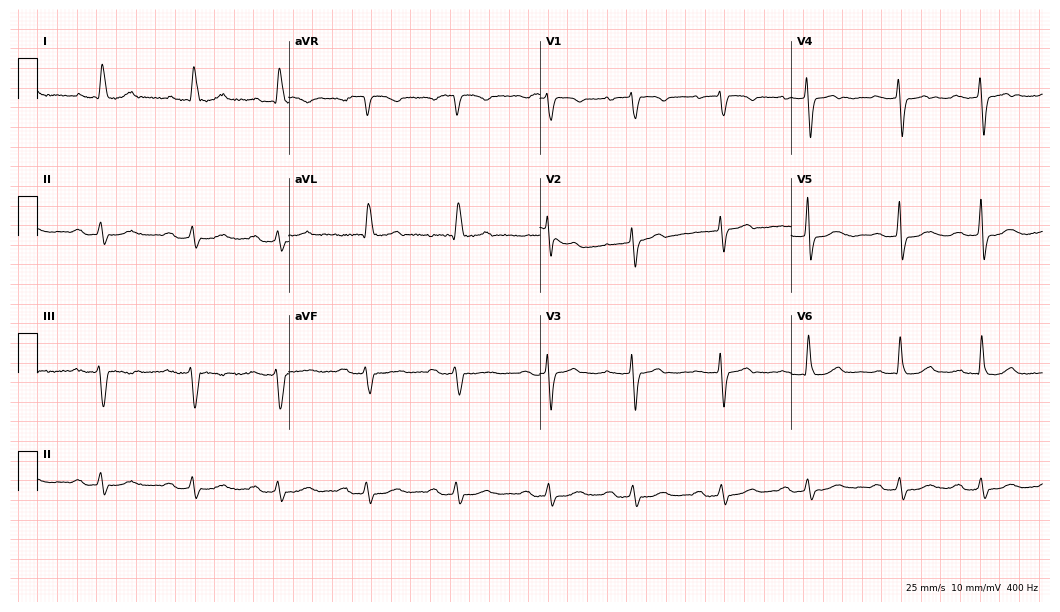
Electrocardiogram (10.2-second recording at 400 Hz), a 78-year-old female. Interpretation includes first-degree AV block, left bundle branch block.